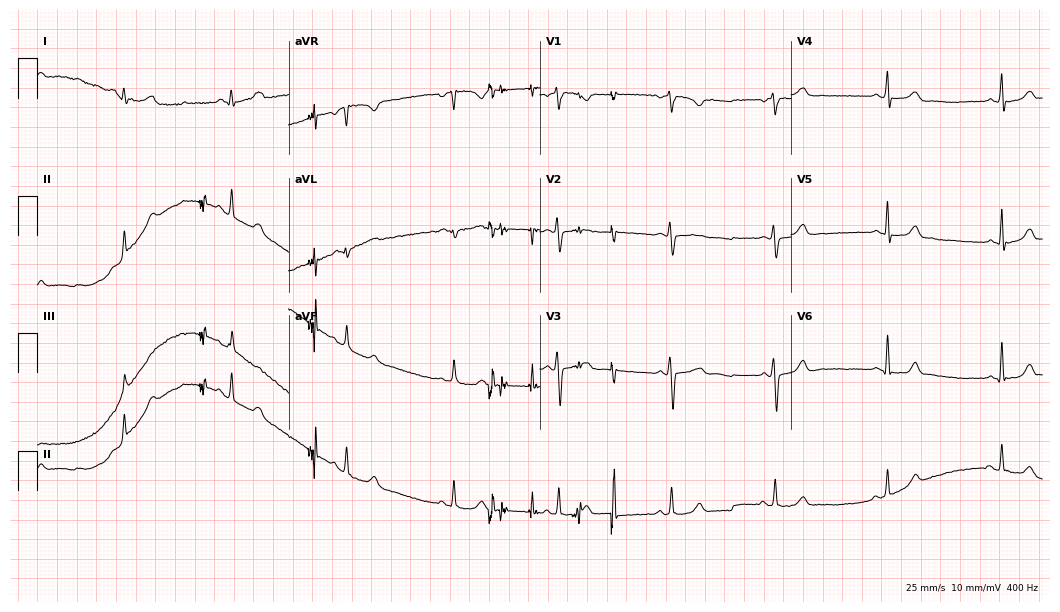
12-lead ECG from a female, 18 years old (10.2-second recording at 400 Hz). Recorded interpretation: within normal limits.